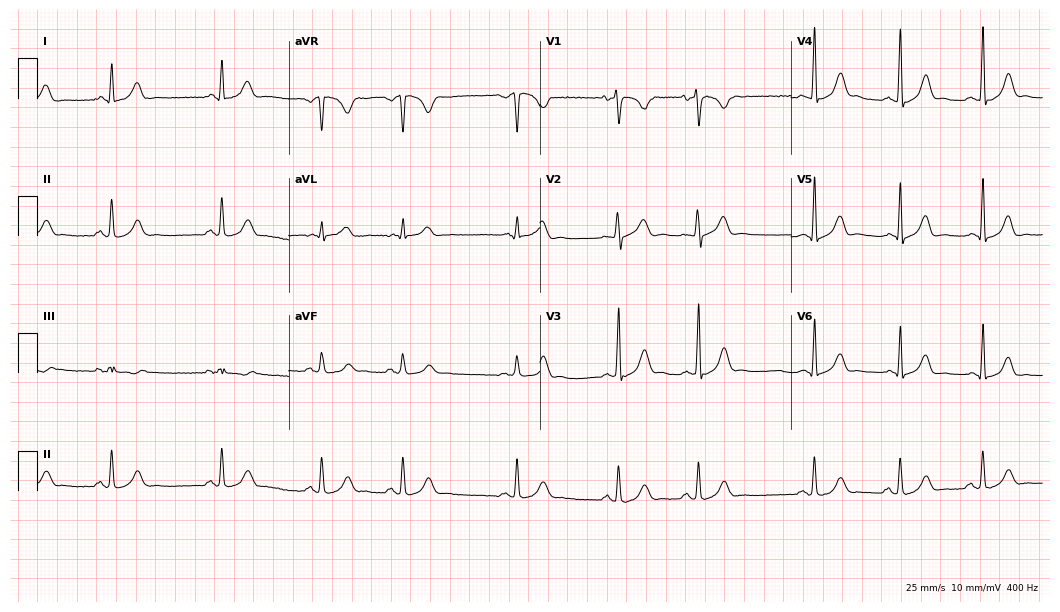
Standard 12-lead ECG recorded from a female patient, 19 years old (10.2-second recording at 400 Hz). None of these six findings is recorded: first-degree AV block, right bundle branch block (RBBB), left bundle branch block (LBBB), sinus bradycardia, atrial fibrillation (AF), sinus tachycardia. Other findings, if any, are not listed.